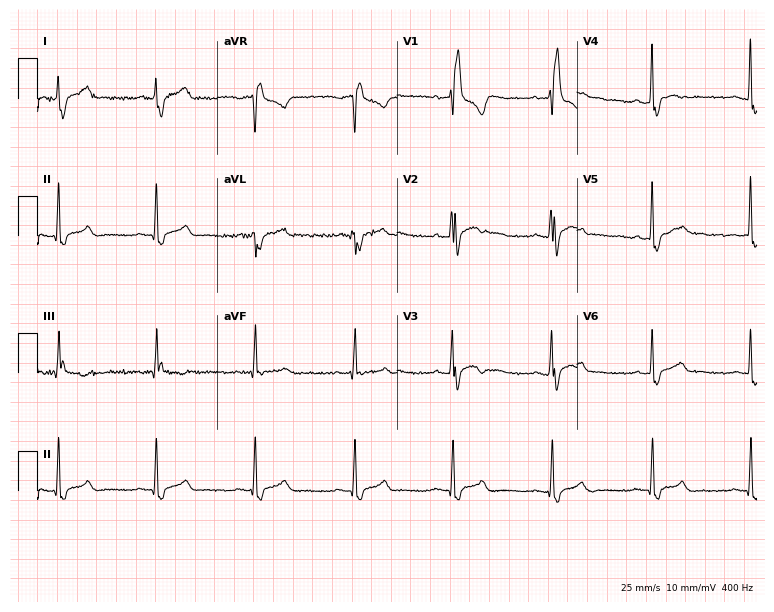
12-lead ECG from a 47-year-old male. Findings include right bundle branch block (RBBB).